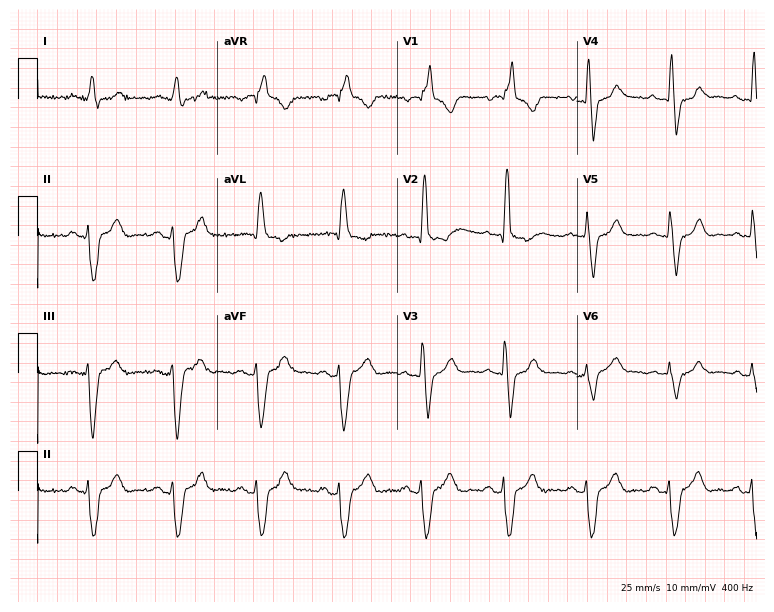
12-lead ECG from a man, 75 years old (7.3-second recording at 400 Hz). Shows right bundle branch block.